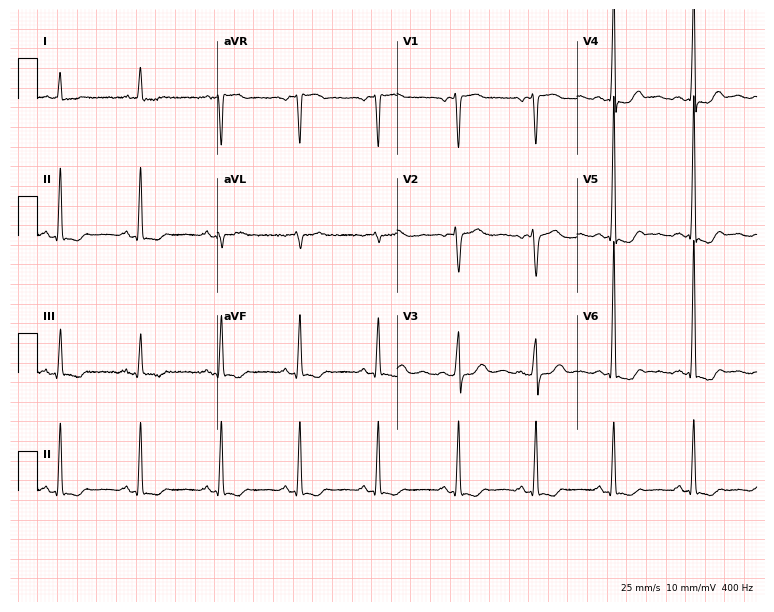
Electrocardiogram, a female patient, 51 years old. Of the six screened findings (first-degree AV block, right bundle branch block, left bundle branch block, sinus bradycardia, atrial fibrillation, sinus tachycardia), none is recorded.